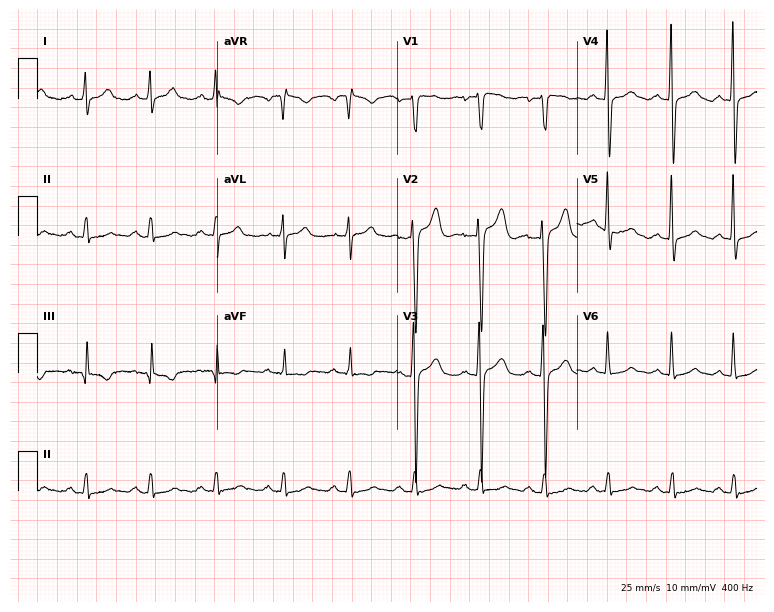
Standard 12-lead ECG recorded from a 33-year-old male (7.3-second recording at 400 Hz). None of these six findings is recorded: first-degree AV block, right bundle branch block, left bundle branch block, sinus bradycardia, atrial fibrillation, sinus tachycardia.